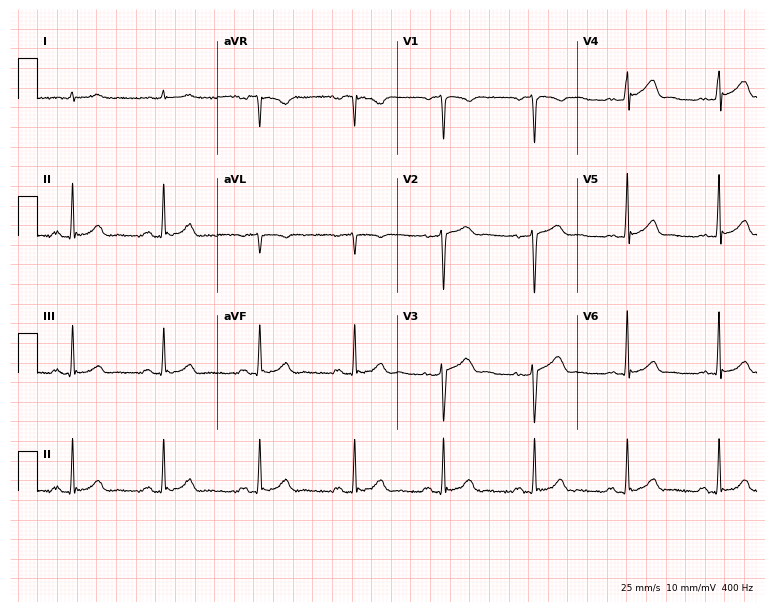
12-lead ECG from a male patient, 34 years old. Recorded interpretation: within normal limits.